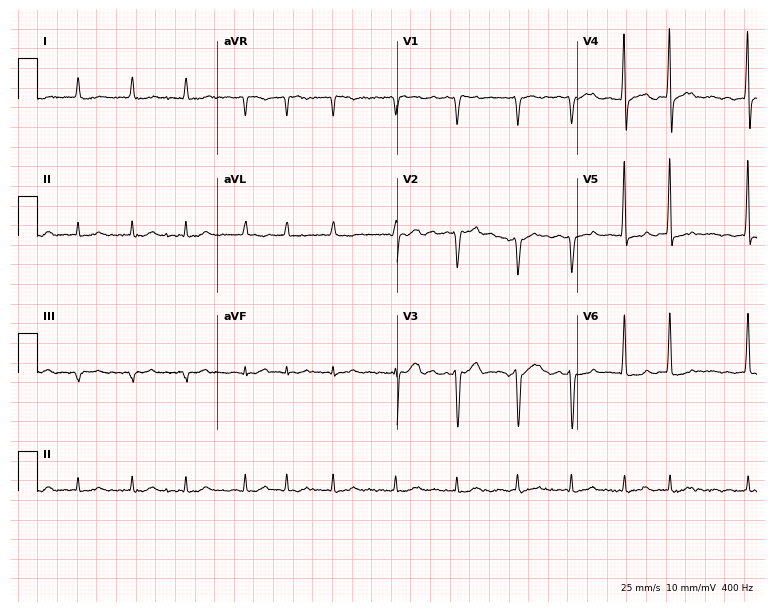
Electrocardiogram, a 79-year-old male patient. Interpretation includes atrial fibrillation.